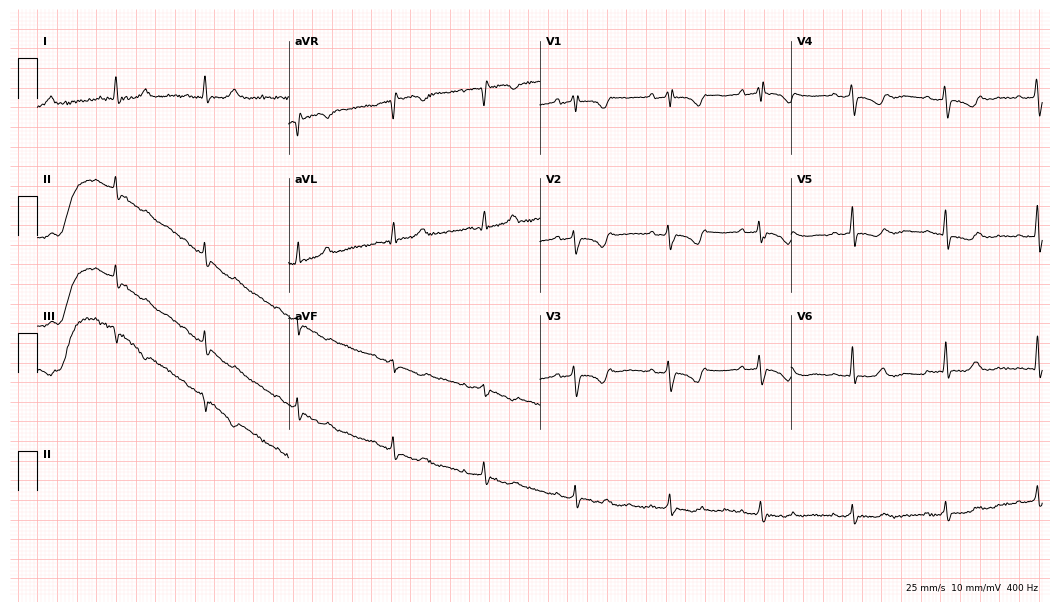
Resting 12-lead electrocardiogram. Patient: a 65-year-old female. None of these six findings is recorded: first-degree AV block, right bundle branch block, left bundle branch block, sinus bradycardia, atrial fibrillation, sinus tachycardia.